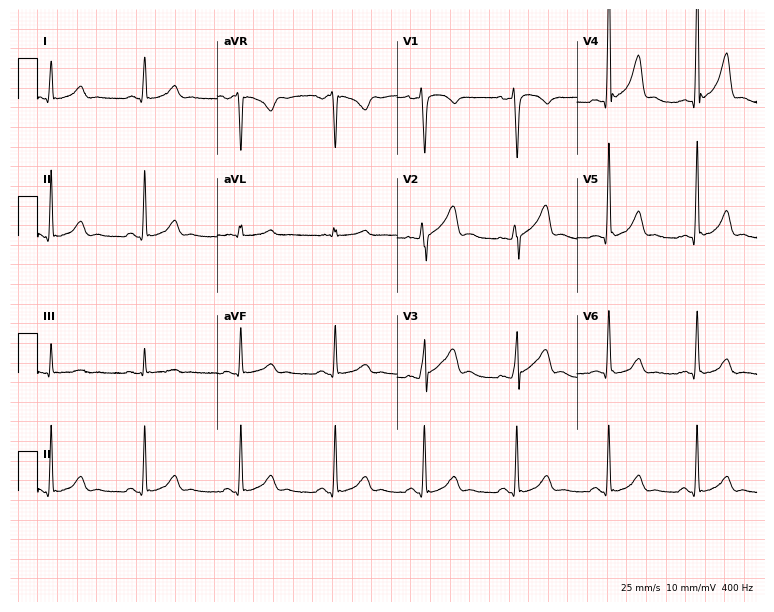
Standard 12-lead ECG recorded from a 35-year-old male. None of these six findings is recorded: first-degree AV block, right bundle branch block, left bundle branch block, sinus bradycardia, atrial fibrillation, sinus tachycardia.